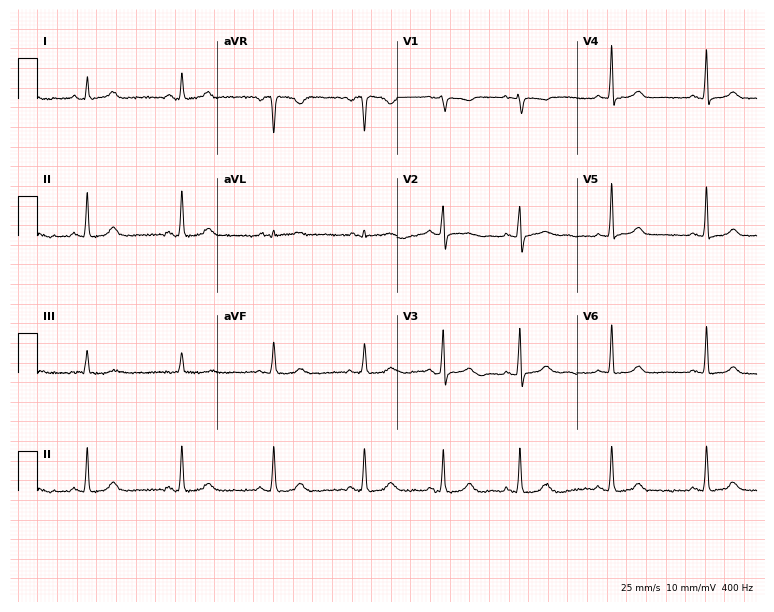
Standard 12-lead ECG recorded from a woman, 26 years old (7.3-second recording at 400 Hz). Read as a normal ECG.